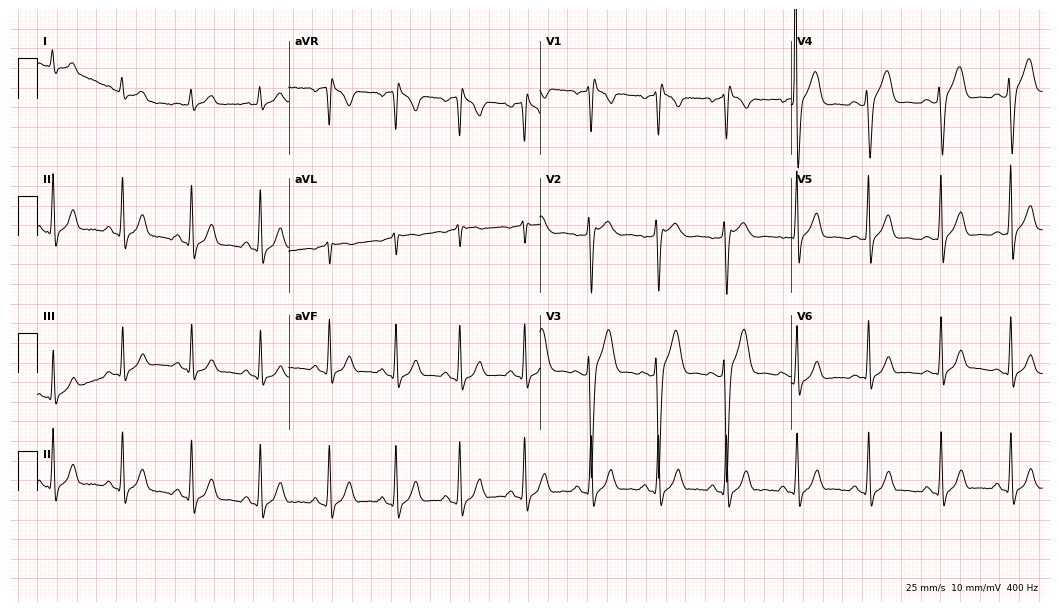
ECG — a man, 29 years old. Screened for six findings — first-degree AV block, right bundle branch block, left bundle branch block, sinus bradycardia, atrial fibrillation, sinus tachycardia — none is recorded.